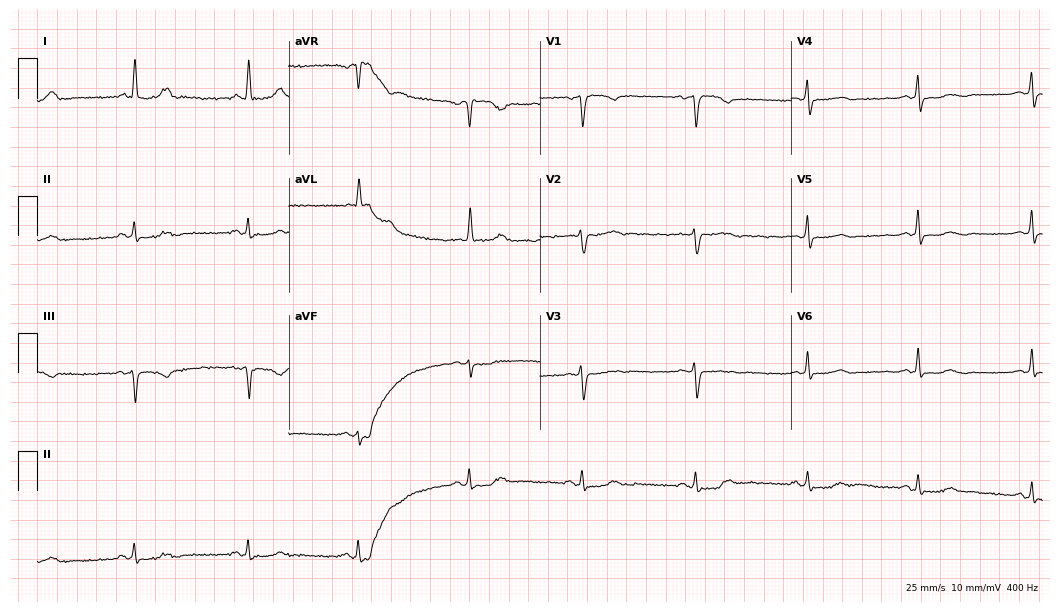
12-lead ECG from a female patient, 63 years old. Recorded interpretation: within normal limits.